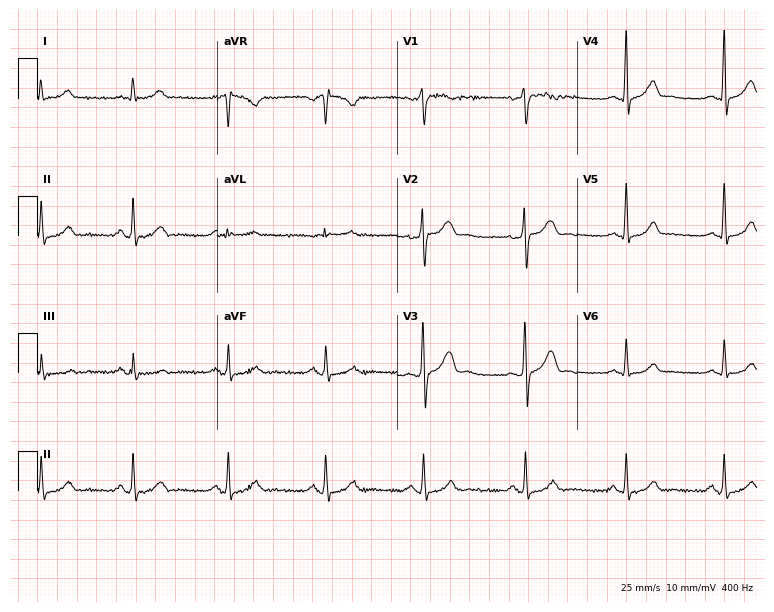
12-lead ECG from a 33-year-old male patient. Labelled as a normal ECG.